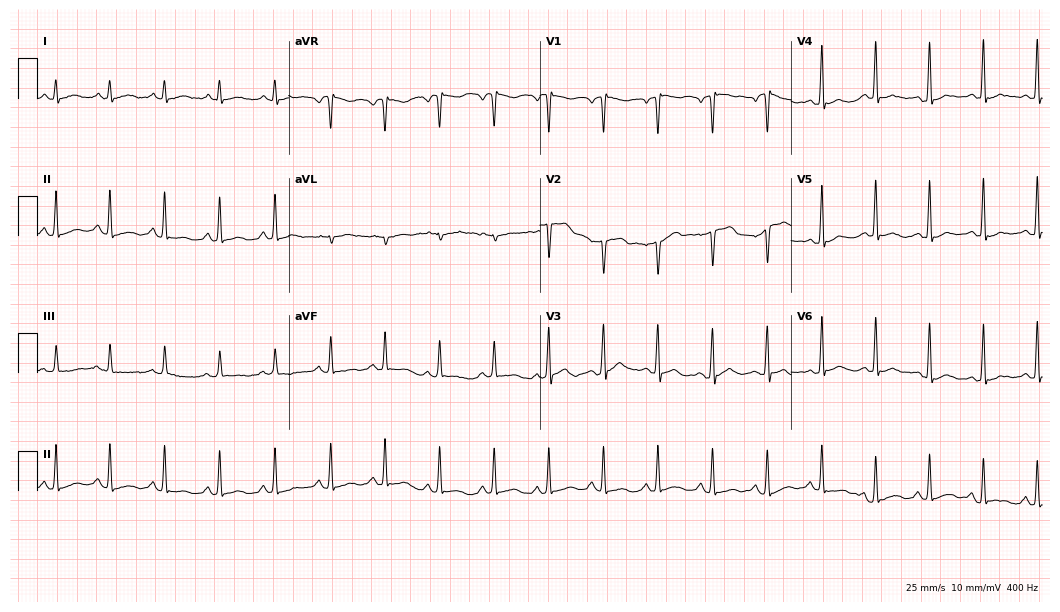
Resting 12-lead electrocardiogram. Patient: a 28-year-old male. The tracing shows sinus tachycardia (a sinus rate of 100 beats per minute or more).